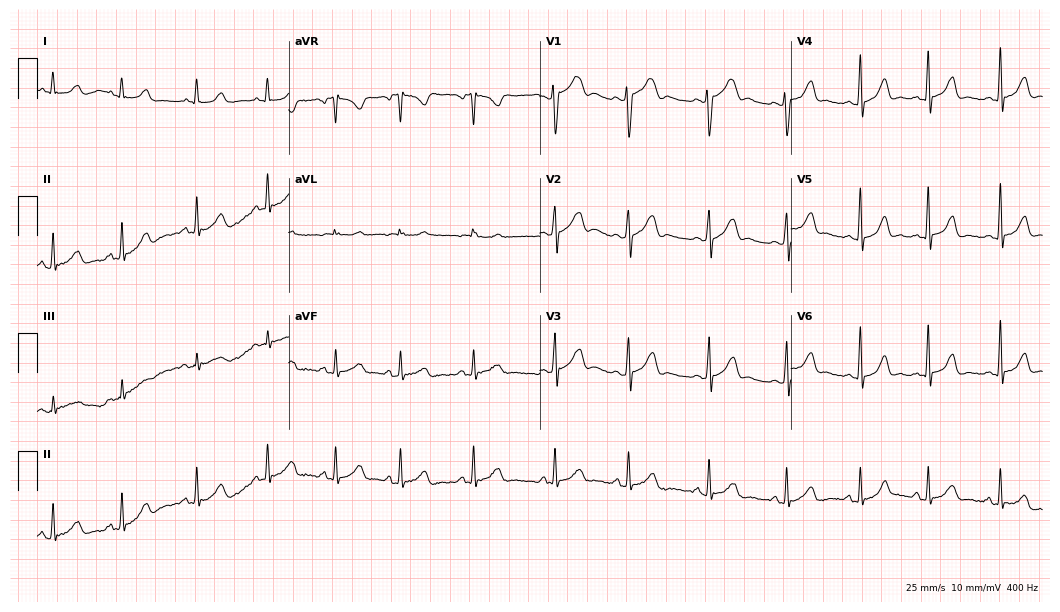
Electrocardiogram (10.2-second recording at 400 Hz), a 17-year-old woman. Overall reading on record: normal ECG.